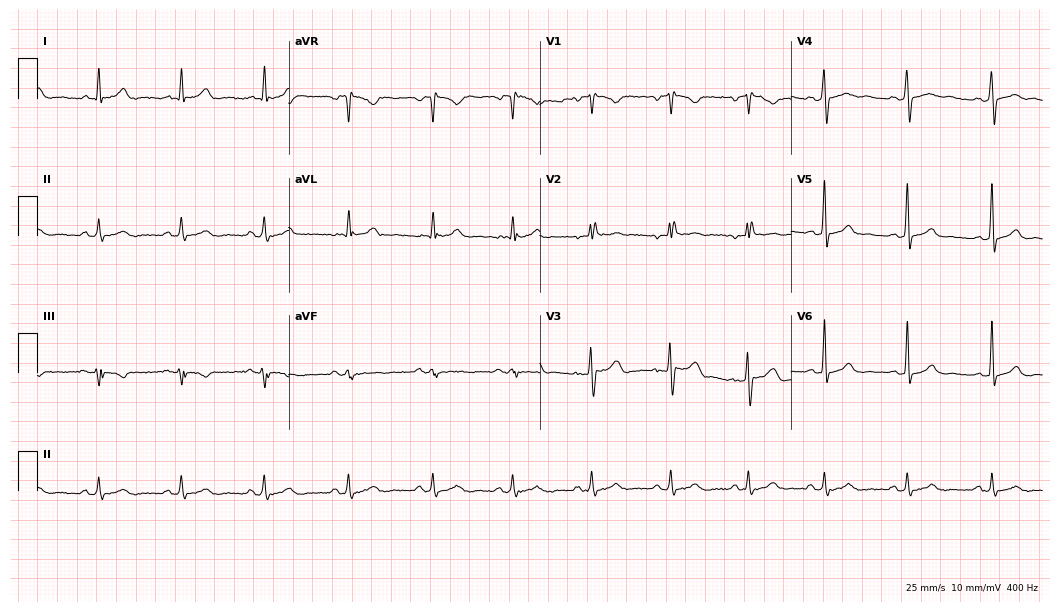
Standard 12-lead ECG recorded from a male, 34 years old. None of these six findings is recorded: first-degree AV block, right bundle branch block, left bundle branch block, sinus bradycardia, atrial fibrillation, sinus tachycardia. Findings outside these six are not listed.